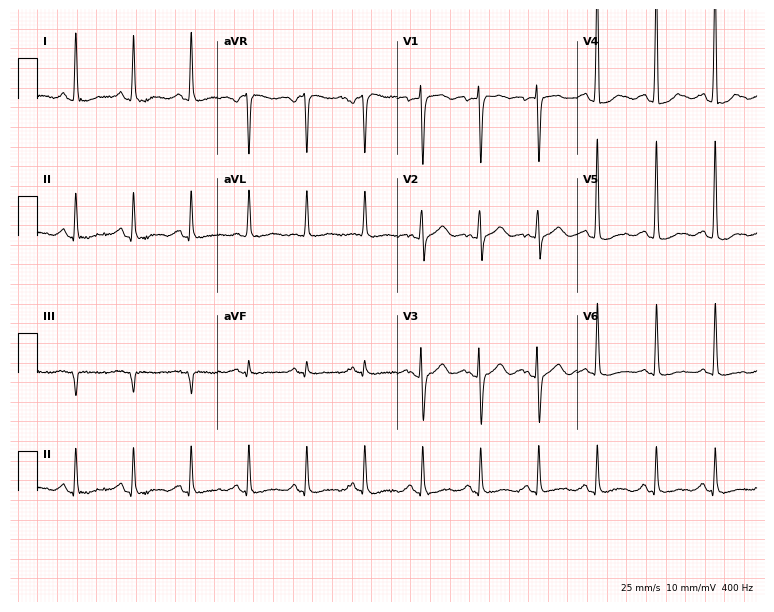
Electrocardiogram, a 69-year-old woman. Of the six screened findings (first-degree AV block, right bundle branch block (RBBB), left bundle branch block (LBBB), sinus bradycardia, atrial fibrillation (AF), sinus tachycardia), none is recorded.